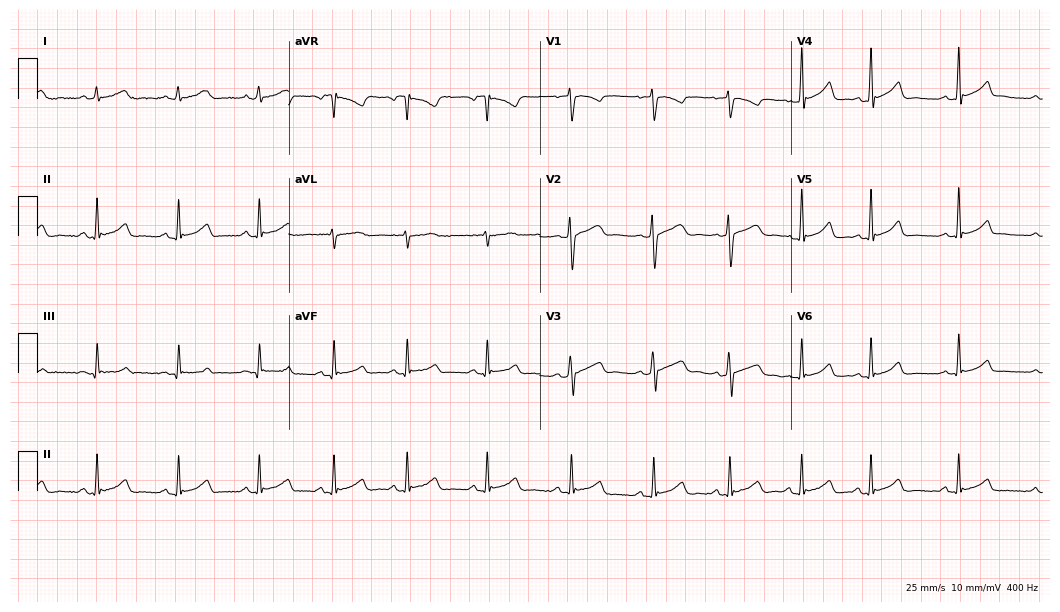
Resting 12-lead electrocardiogram (10.2-second recording at 400 Hz). Patient: a 36-year-old woman. Read as a normal ECG.